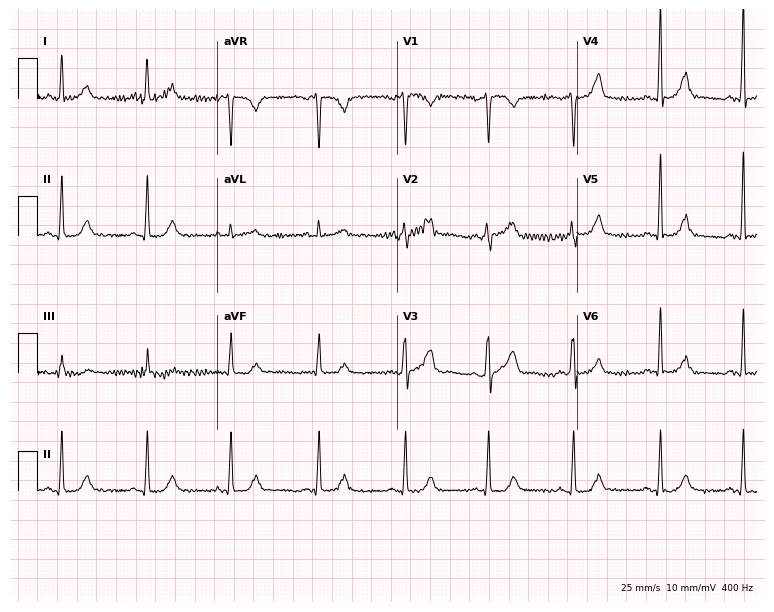
12-lead ECG from a 59-year-old male patient (7.3-second recording at 400 Hz). No first-degree AV block, right bundle branch block (RBBB), left bundle branch block (LBBB), sinus bradycardia, atrial fibrillation (AF) or sinus tachycardia recorded for this tracing.